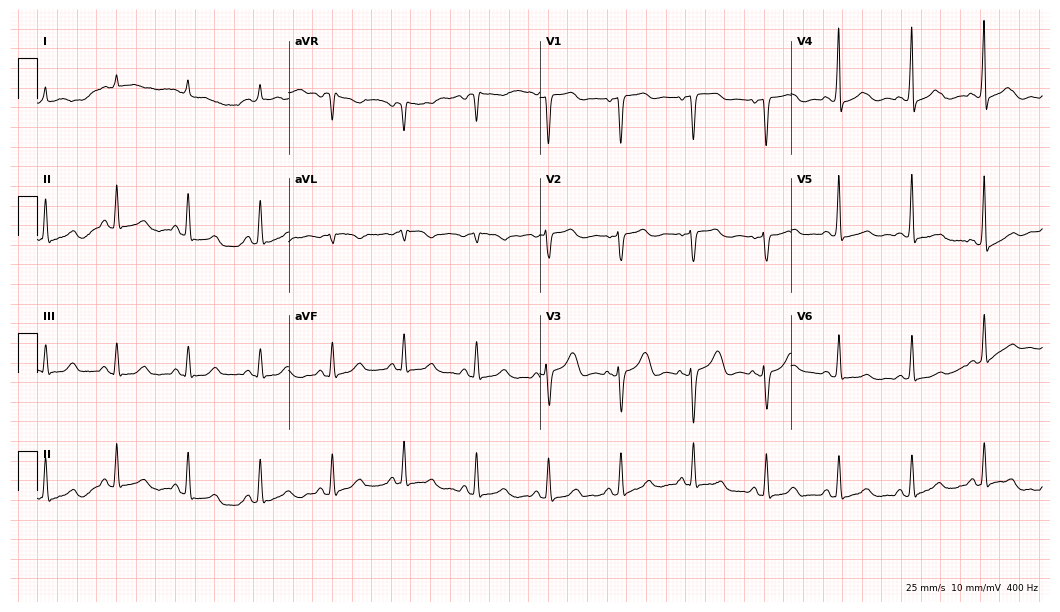
12-lead ECG from an 80-year-old female patient. No first-degree AV block, right bundle branch block (RBBB), left bundle branch block (LBBB), sinus bradycardia, atrial fibrillation (AF) or sinus tachycardia recorded for this tracing.